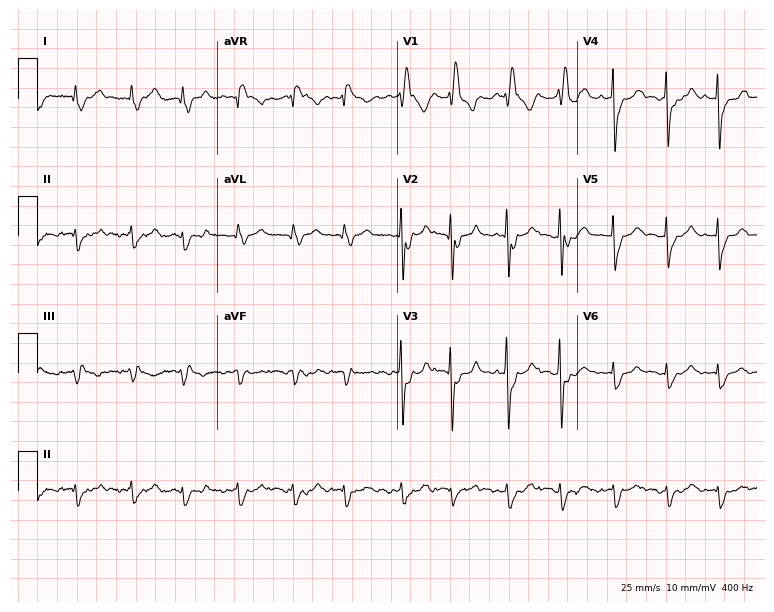
Resting 12-lead electrocardiogram (7.3-second recording at 400 Hz). Patient: a male, 84 years old. The tracing shows right bundle branch block (RBBB), atrial fibrillation (AF), sinus tachycardia (a sinus rate of 100 beats per minute or more).